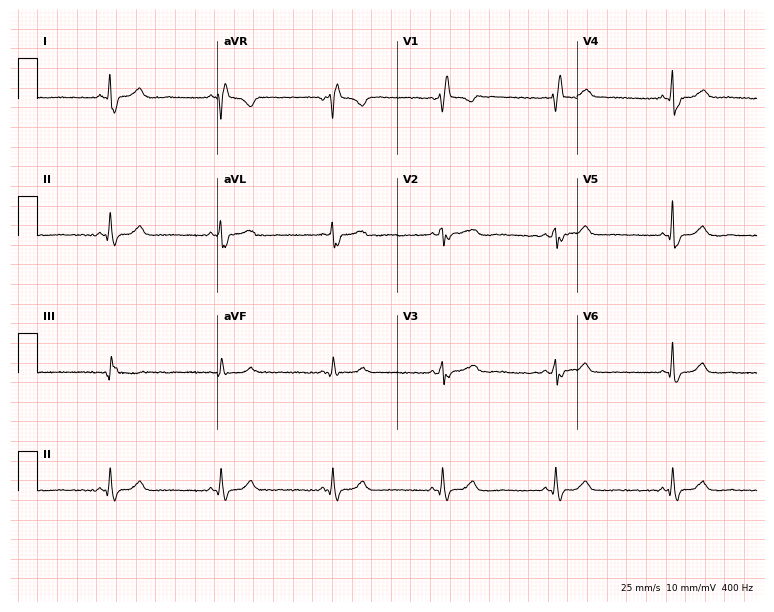
Electrocardiogram (7.3-second recording at 400 Hz), a female, 56 years old. Of the six screened findings (first-degree AV block, right bundle branch block, left bundle branch block, sinus bradycardia, atrial fibrillation, sinus tachycardia), none is recorded. Findings outside these six are not listed.